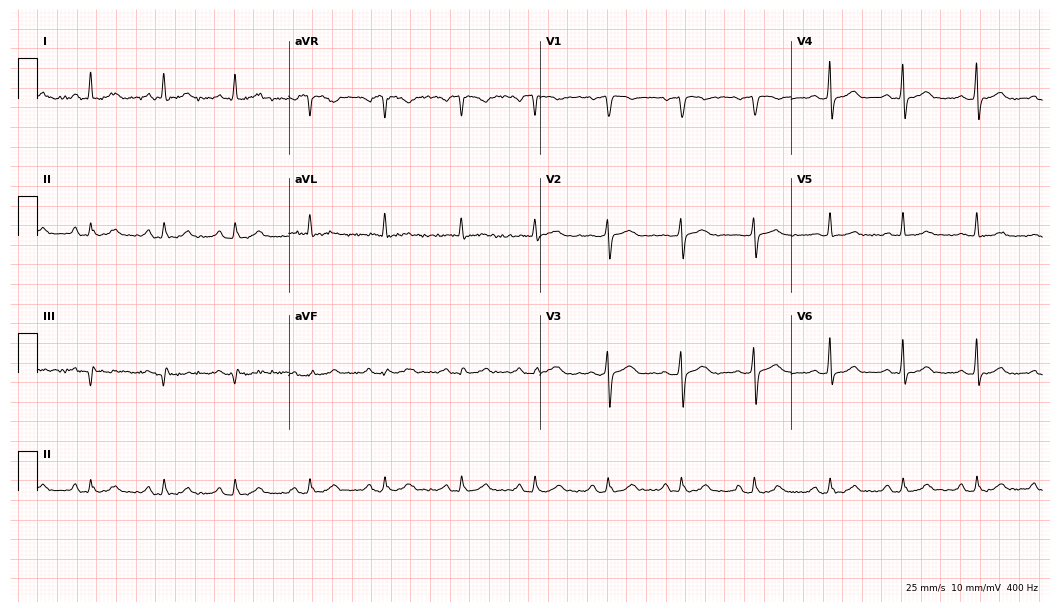
12-lead ECG (10.2-second recording at 400 Hz) from a female, 82 years old. Labelled as a normal ECG.